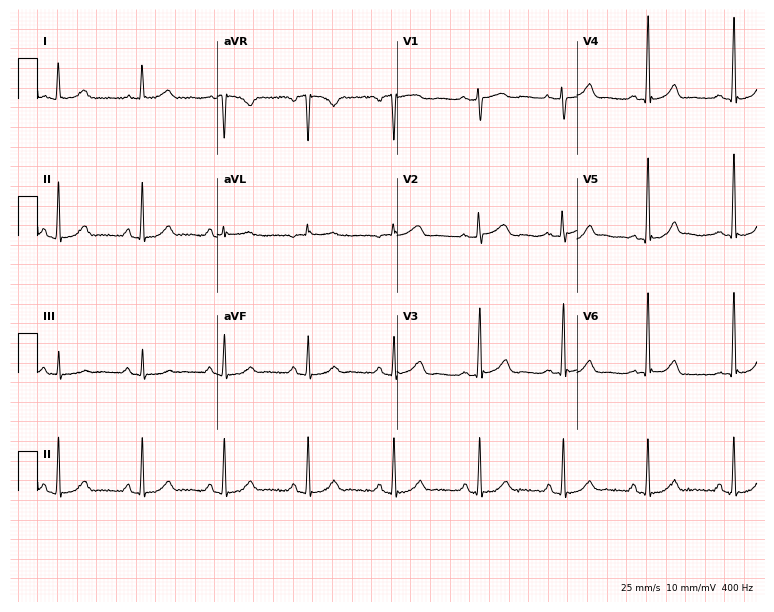
Electrocardiogram, a 48-year-old female. Of the six screened findings (first-degree AV block, right bundle branch block, left bundle branch block, sinus bradycardia, atrial fibrillation, sinus tachycardia), none is recorded.